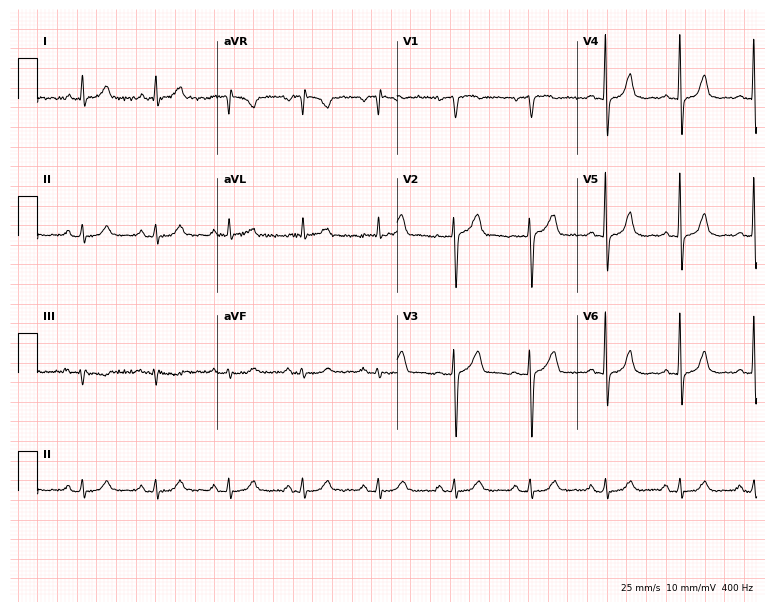
ECG — a woman, 61 years old. Labelled as a normal ECG.